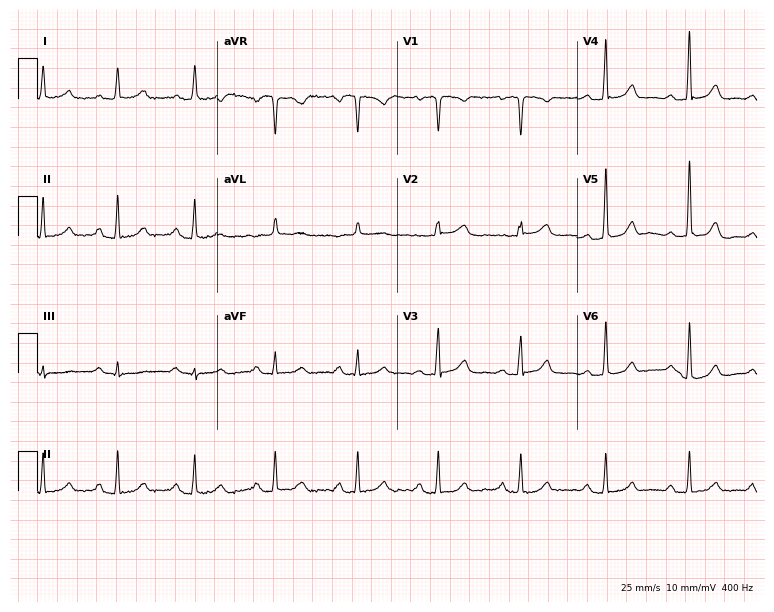
12-lead ECG (7.3-second recording at 400 Hz) from a 47-year-old woman. Labelled as a normal ECG.